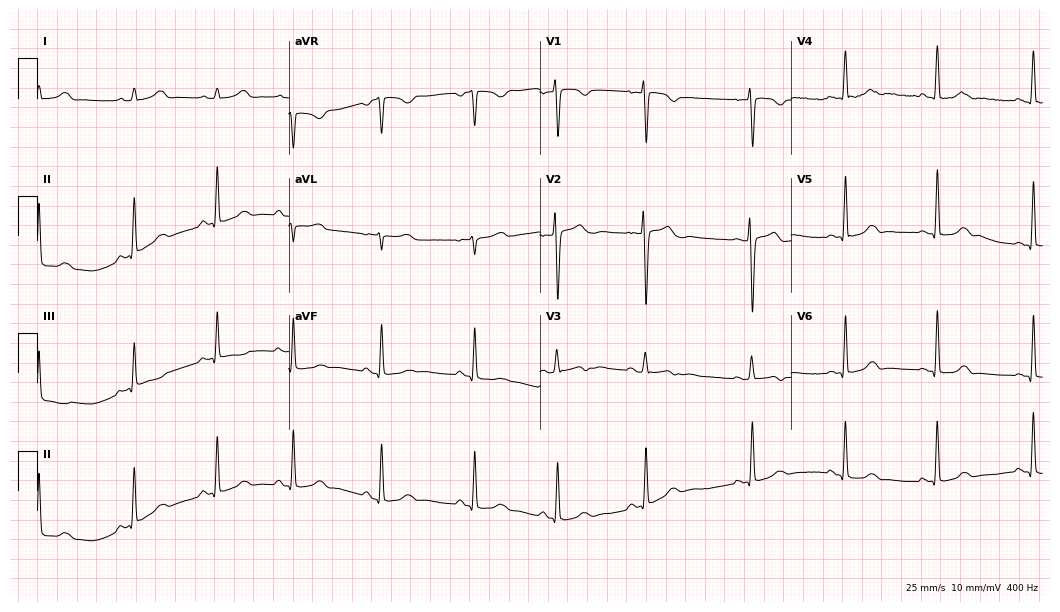
12-lead ECG from a 24-year-old female patient. Recorded interpretation: within normal limits.